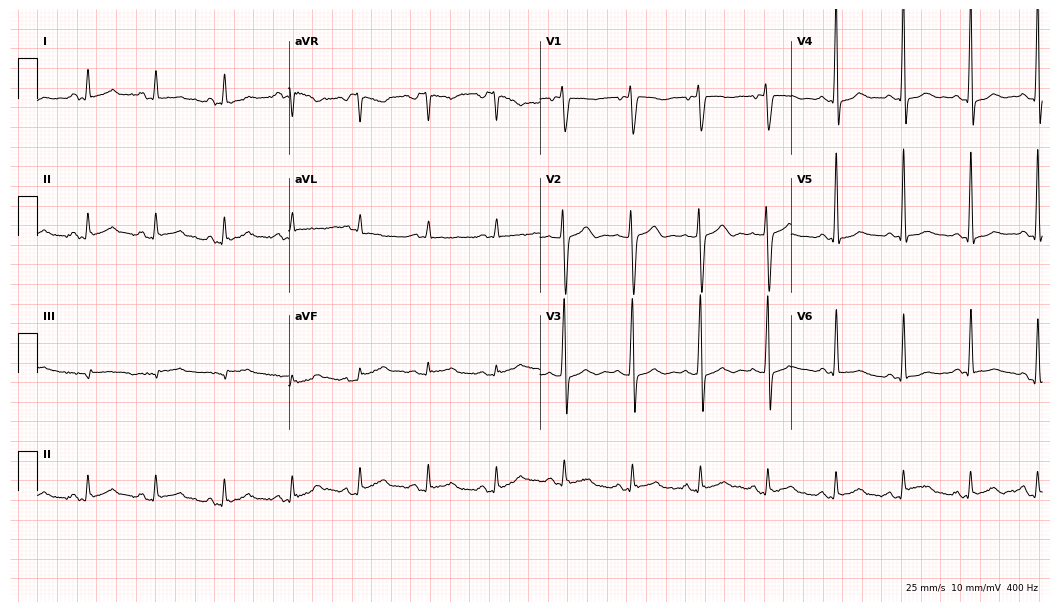
ECG (10.2-second recording at 400 Hz) — a 62-year-old male patient. Screened for six findings — first-degree AV block, right bundle branch block (RBBB), left bundle branch block (LBBB), sinus bradycardia, atrial fibrillation (AF), sinus tachycardia — none is recorded.